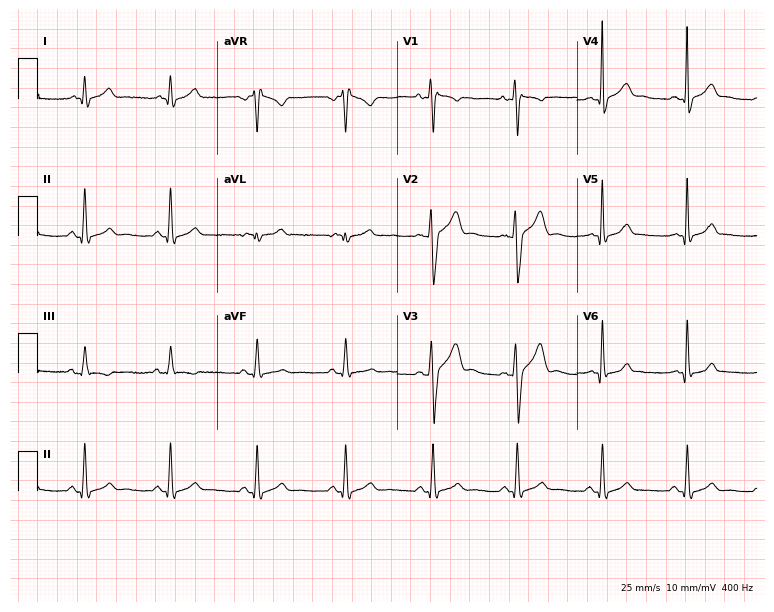
ECG — a 29-year-old male patient. Screened for six findings — first-degree AV block, right bundle branch block (RBBB), left bundle branch block (LBBB), sinus bradycardia, atrial fibrillation (AF), sinus tachycardia — none is recorded. Only these six findings were labelled.